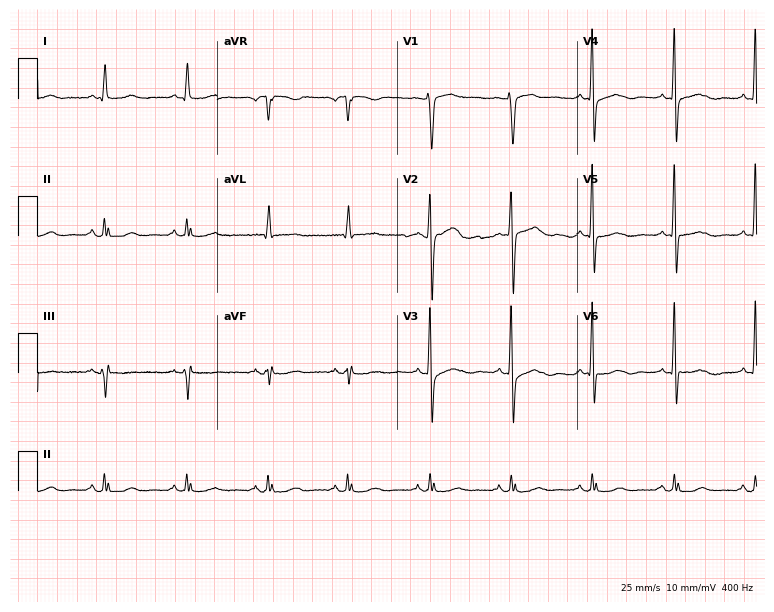
ECG (7.3-second recording at 400 Hz) — a 72-year-old female patient. Screened for six findings — first-degree AV block, right bundle branch block, left bundle branch block, sinus bradycardia, atrial fibrillation, sinus tachycardia — none is recorded. Findings outside these six are not listed.